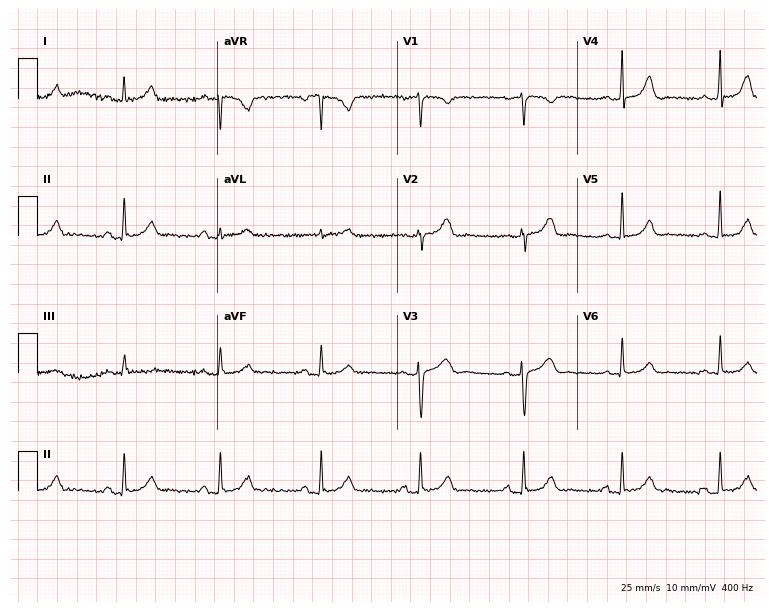
Resting 12-lead electrocardiogram. Patient: a 38-year-old female. None of these six findings is recorded: first-degree AV block, right bundle branch block, left bundle branch block, sinus bradycardia, atrial fibrillation, sinus tachycardia.